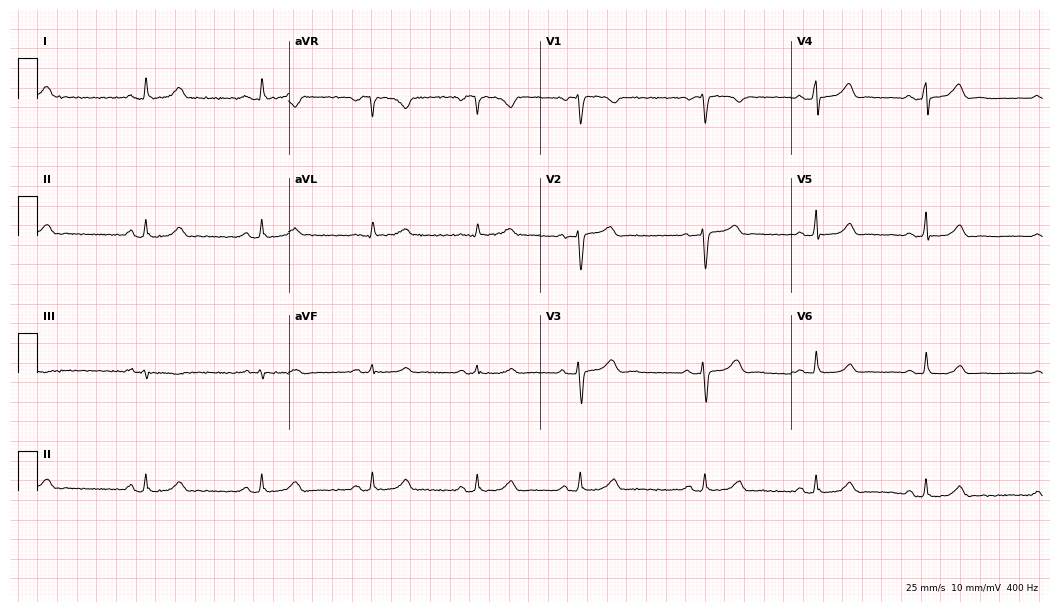
12-lead ECG from a woman, 43 years old. No first-degree AV block, right bundle branch block, left bundle branch block, sinus bradycardia, atrial fibrillation or sinus tachycardia recorded for this tracing.